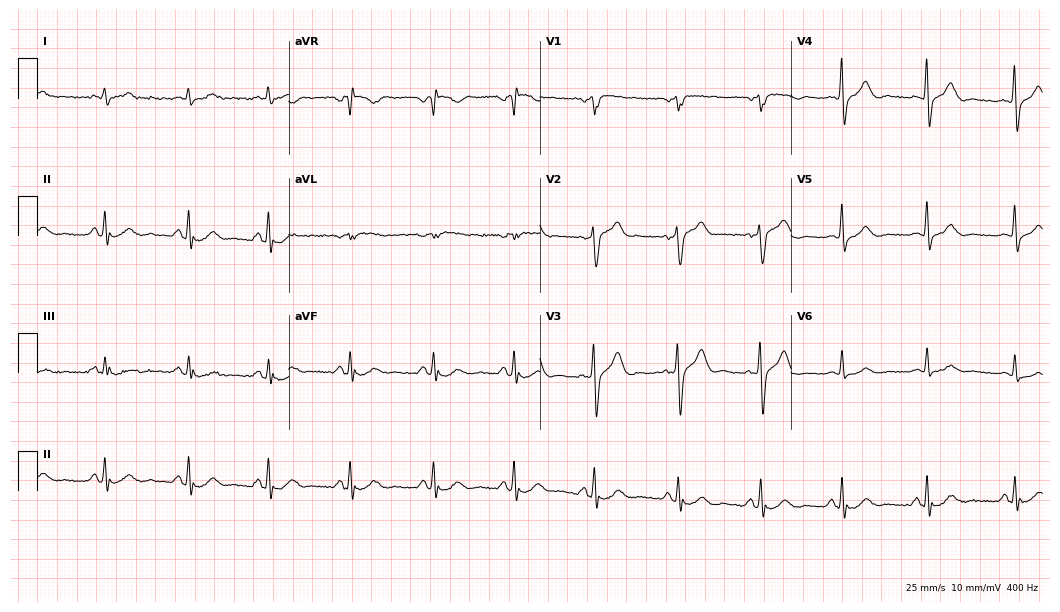
Resting 12-lead electrocardiogram (10.2-second recording at 400 Hz). Patient: a man, 76 years old. Read as a normal ECG.